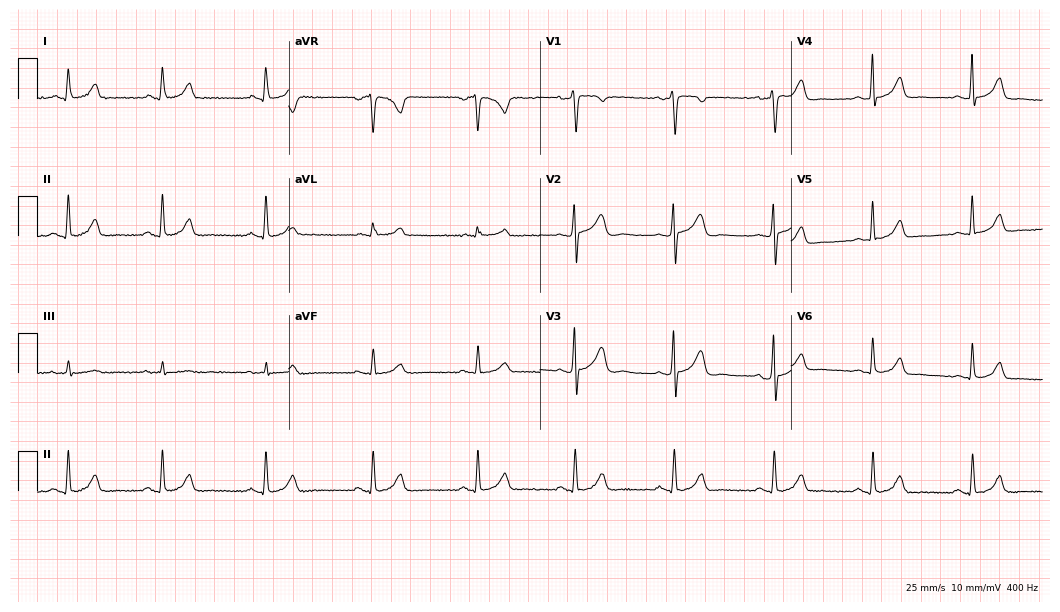
12-lead ECG (10.2-second recording at 400 Hz) from a female, 35 years old. Screened for six findings — first-degree AV block, right bundle branch block (RBBB), left bundle branch block (LBBB), sinus bradycardia, atrial fibrillation (AF), sinus tachycardia — none is recorded.